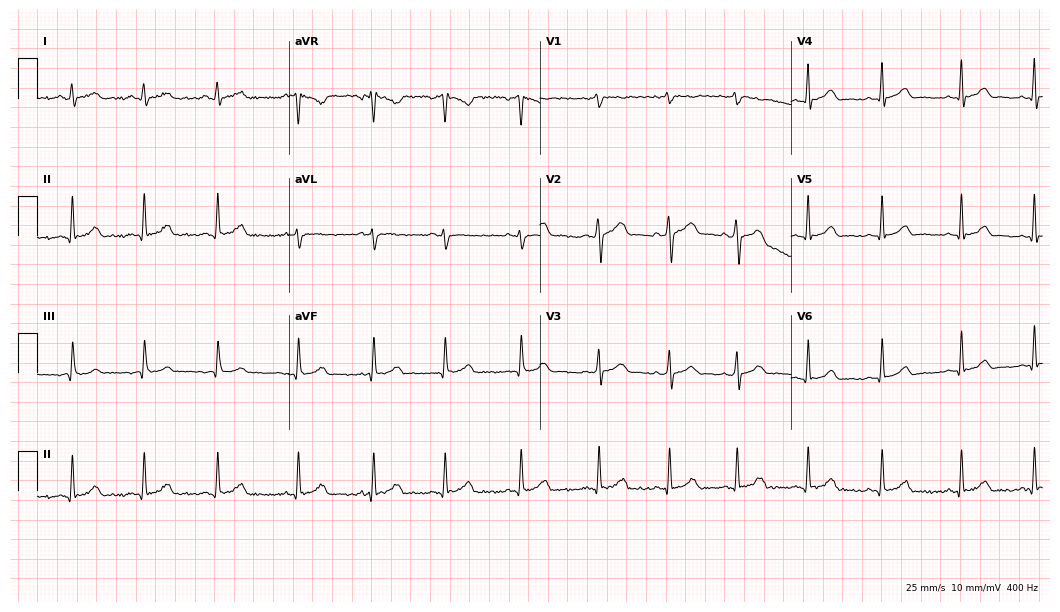
Resting 12-lead electrocardiogram (10.2-second recording at 400 Hz). Patient: a female, 31 years old. Read as a normal ECG.